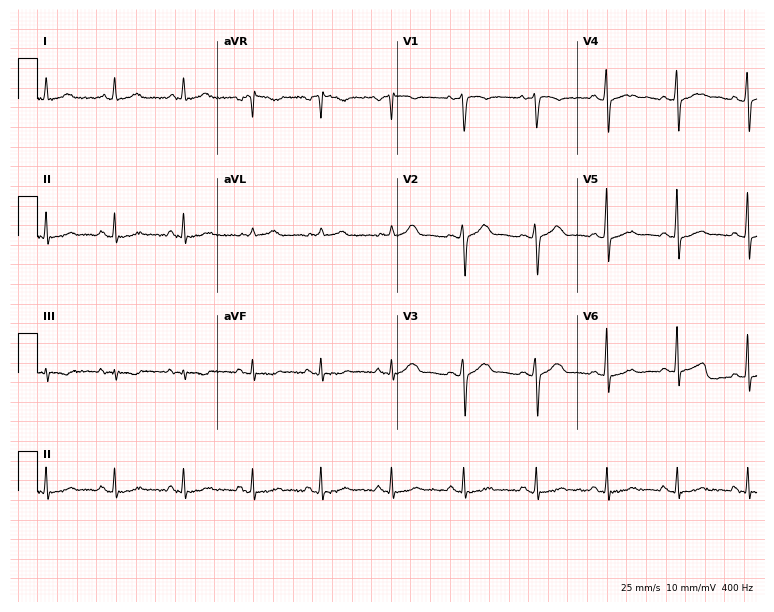
12-lead ECG from a 44-year-old female patient. Recorded interpretation: within normal limits.